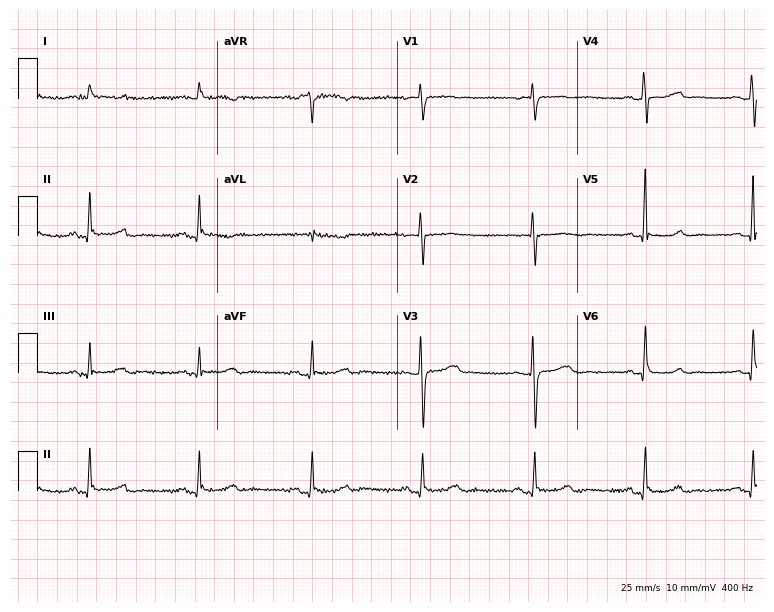
12-lead ECG from a 62-year-old woman. Recorded interpretation: within normal limits.